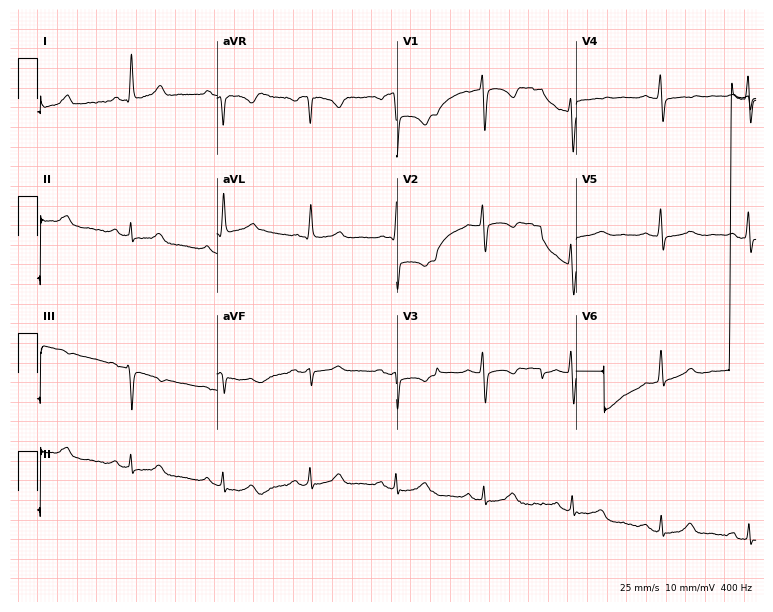
12-lead ECG from a 61-year-old female (7.3-second recording at 400 Hz). Recorded interpretation: within normal limits.